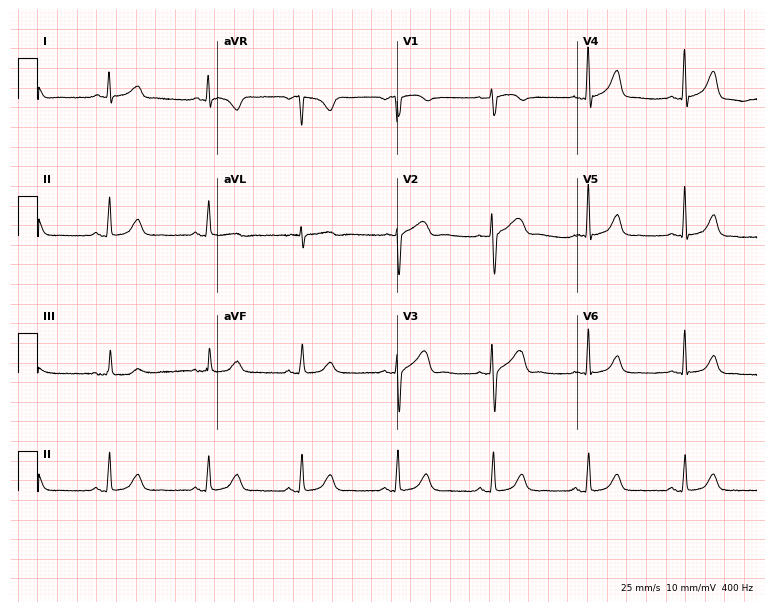
Electrocardiogram (7.3-second recording at 400 Hz), a 47-year-old female. Overall reading on record: normal ECG.